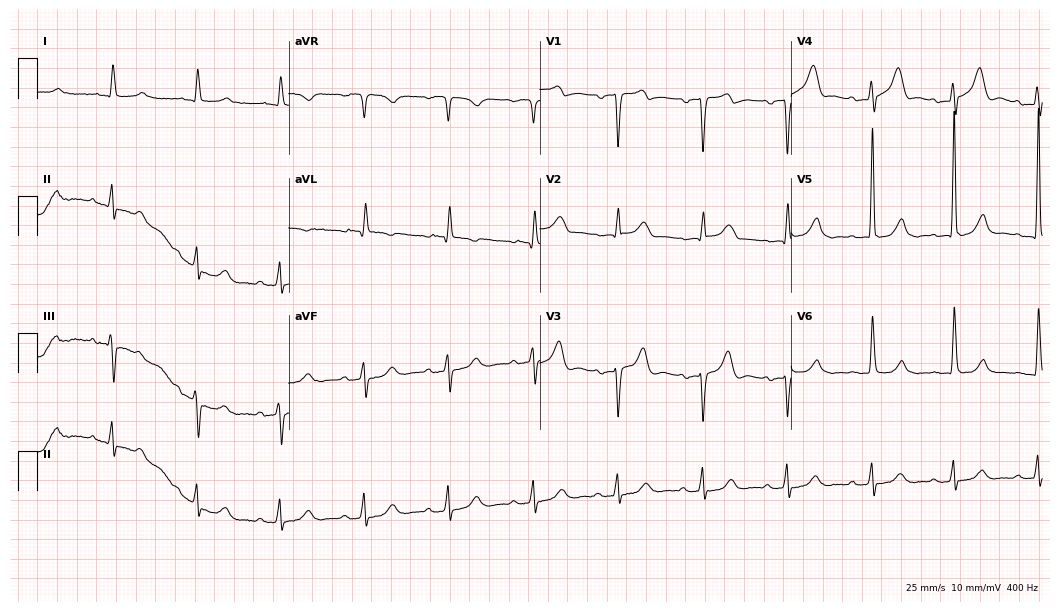
ECG (10.2-second recording at 400 Hz) — an 85-year-old male patient. Screened for six findings — first-degree AV block, right bundle branch block (RBBB), left bundle branch block (LBBB), sinus bradycardia, atrial fibrillation (AF), sinus tachycardia — none is recorded.